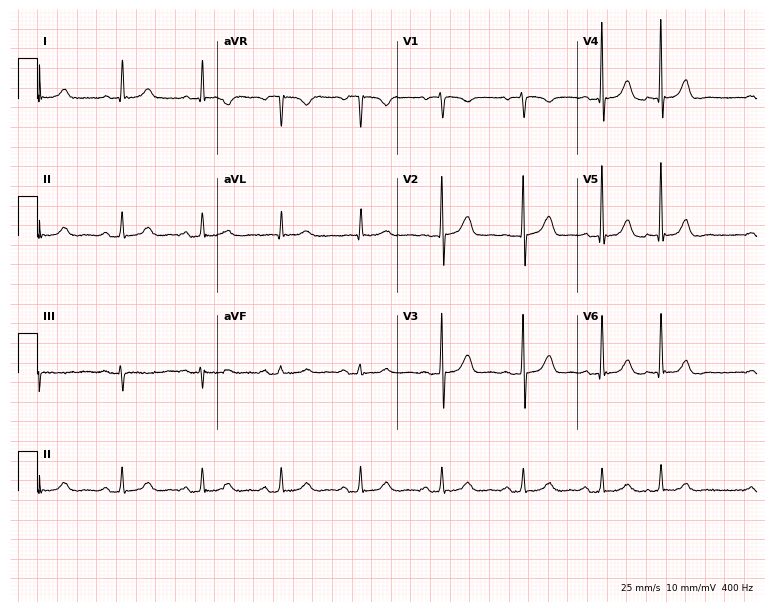
12-lead ECG from a female patient, 72 years old. No first-degree AV block, right bundle branch block, left bundle branch block, sinus bradycardia, atrial fibrillation or sinus tachycardia recorded for this tracing.